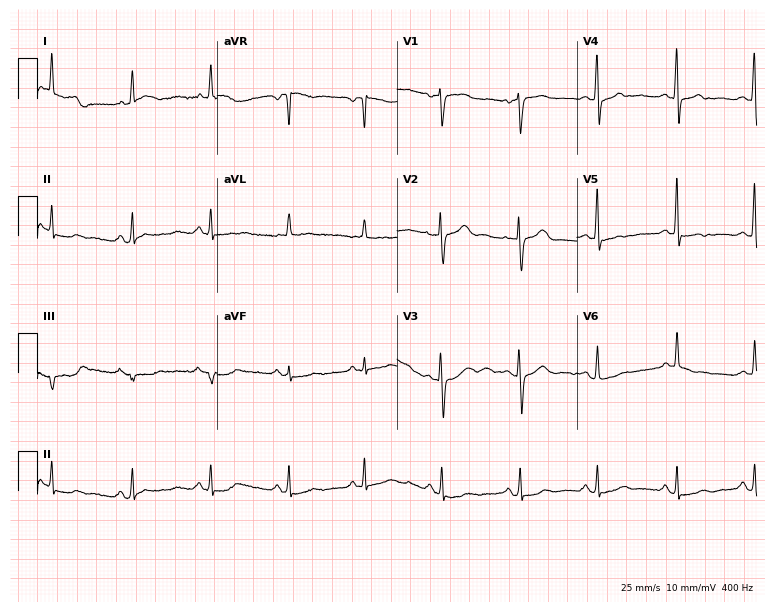
Standard 12-lead ECG recorded from a female patient, 63 years old. None of these six findings is recorded: first-degree AV block, right bundle branch block (RBBB), left bundle branch block (LBBB), sinus bradycardia, atrial fibrillation (AF), sinus tachycardia.